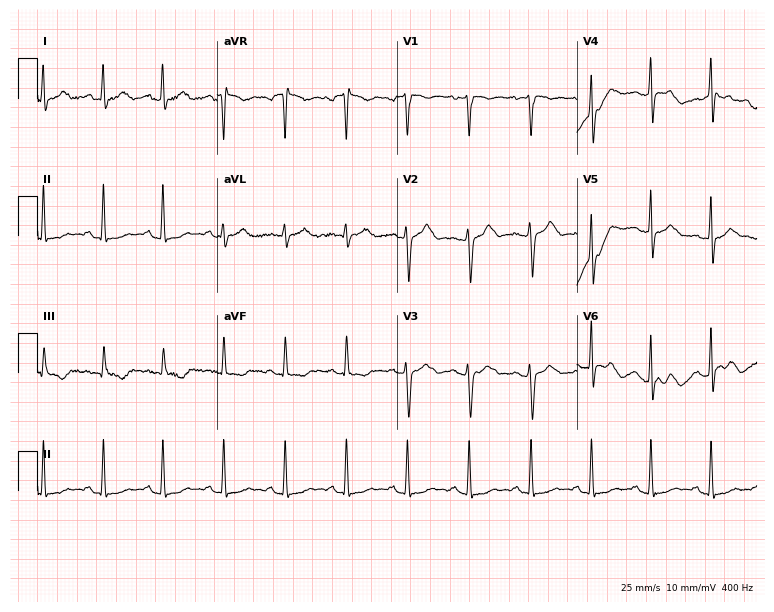
Electrocardiogram, a female patient, 19 years old. Of the six screened findings (first-degree AV block, right bundle branch block (RBBB), left bundle branch block (LBBB), sinus bradycardia, atrial fibrillation (AF), sinus tachycardia), none is recorded.